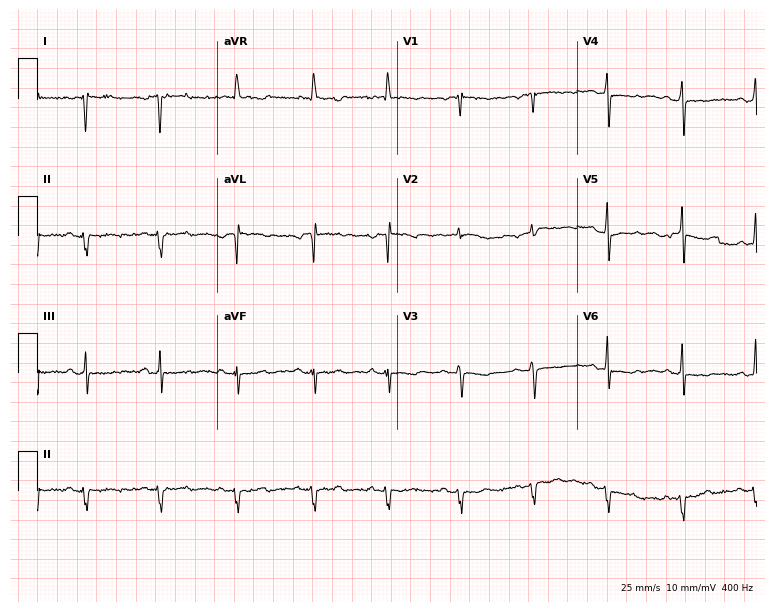
Resting 12-lead electrocardiogram (7.3-second recording at 400 Hz). Patient: a woman, 75 years old. None of these six findings is recorded: first-degree AV block, right bundle branch block, left bundle branch block, sinus bradycardia, atrial fibrillation, sinus tachycardia.